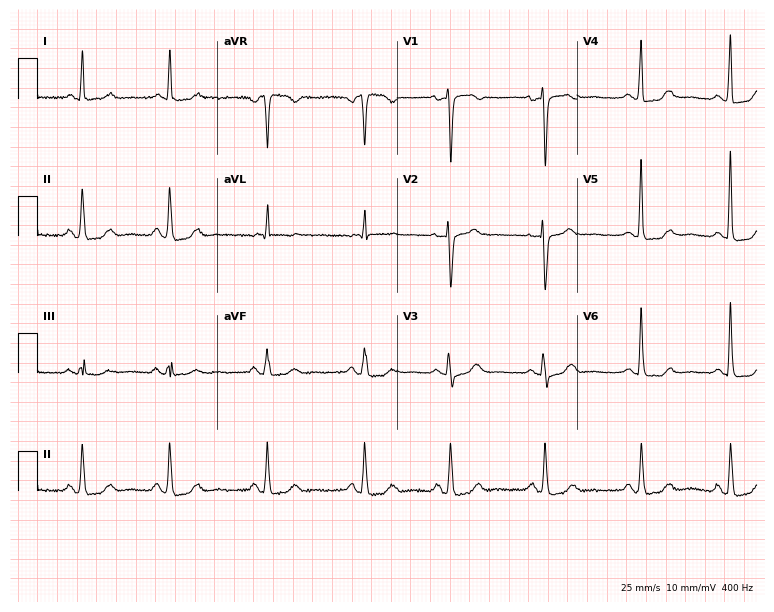
Resting 12-lead electrocardiogram. Patient: a woman, 53 years old. Read as a normal ECG.